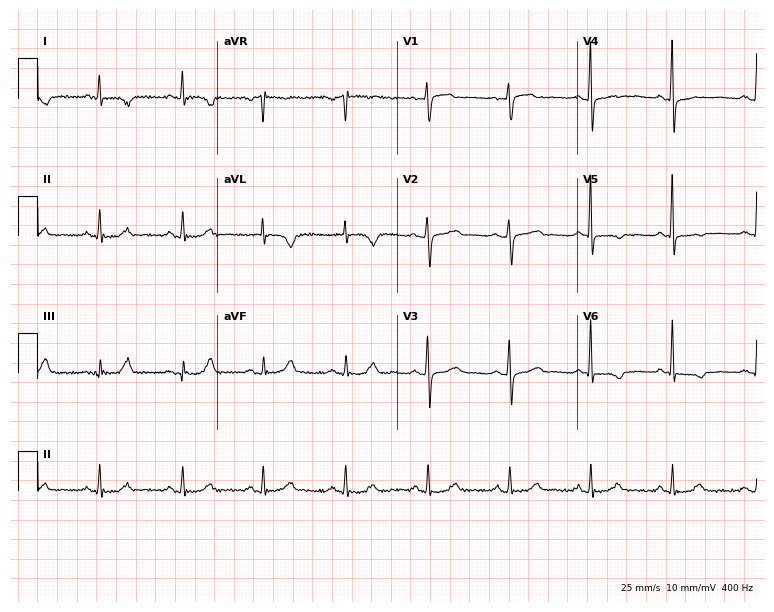
Standard 12-lead ECG recorded from a female patient, 74 years old (7.3-second recording at 400 Hz). None of these six findings is recorded: first-degree AV block, right bundle branch block (RBBB), left bundle branch block (LBBB), sinus bradycardia, atrial fibrillation (AF), sinus tachycardia.